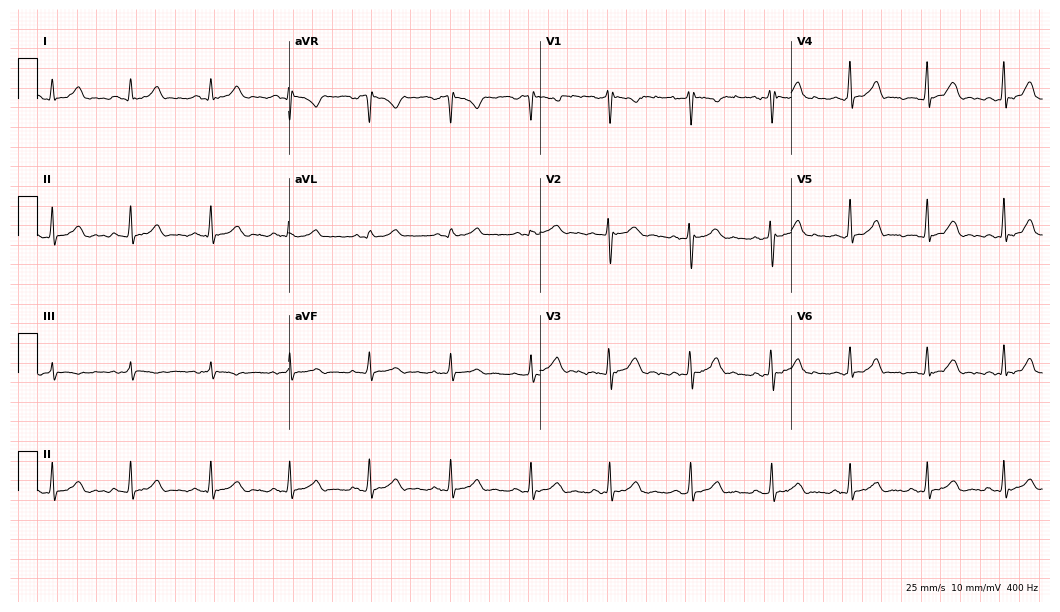
ECG — a 32-year-old male. Labelled as a normal ECG.